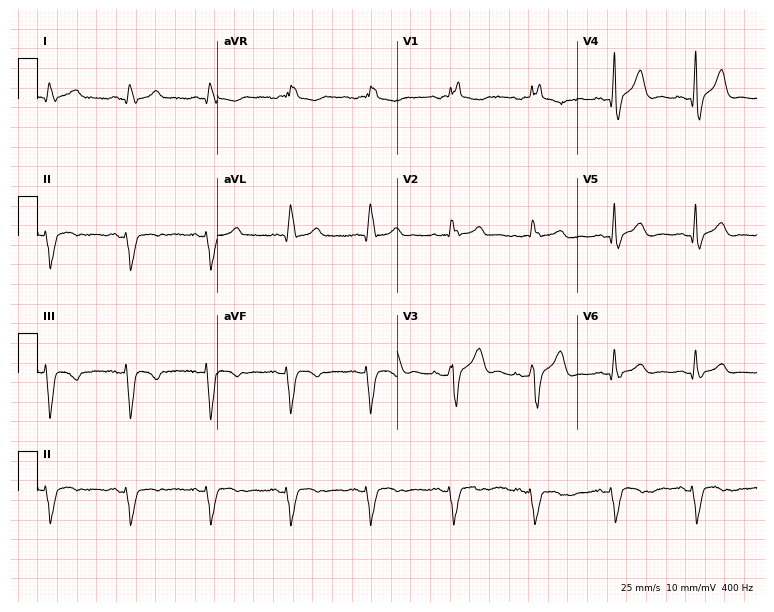
Resting 12-lead electrocardiogram. Patient: a man, 61 years old. The tracing shows right bundle branch block (RBBB).